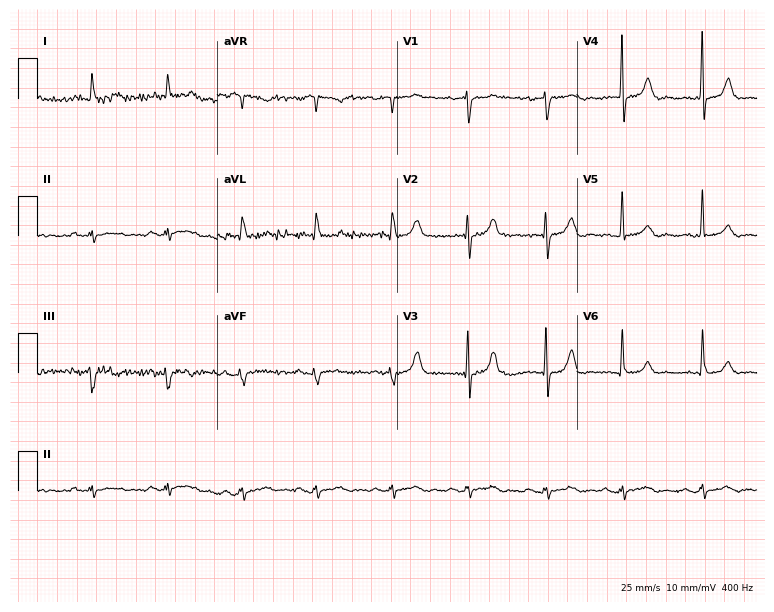
Standard 12-lead ECG recorded from a 65-year-old male. None of these six findings is recorded: first-degree AV block, right bundle branch block (RBBB), left bundle branch block (LBBB), sinus bradycardia, atrial fibrillation (AF), sinus tachycardia. Findings outside these six are not listed.